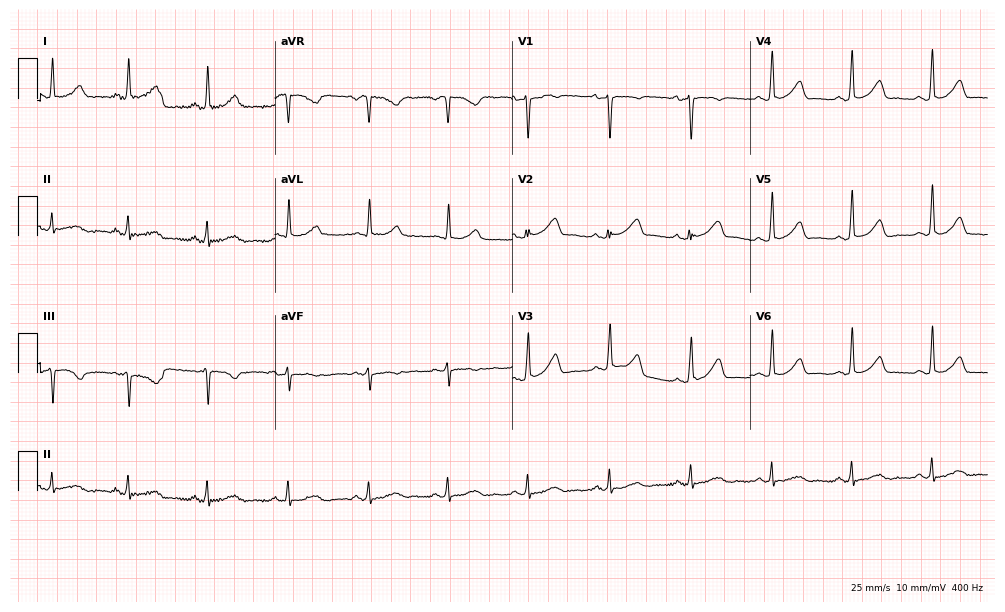
ECG (9.7-second recording at 400 Hz) — a female, 37 years old. Labelled as a normal ECG.